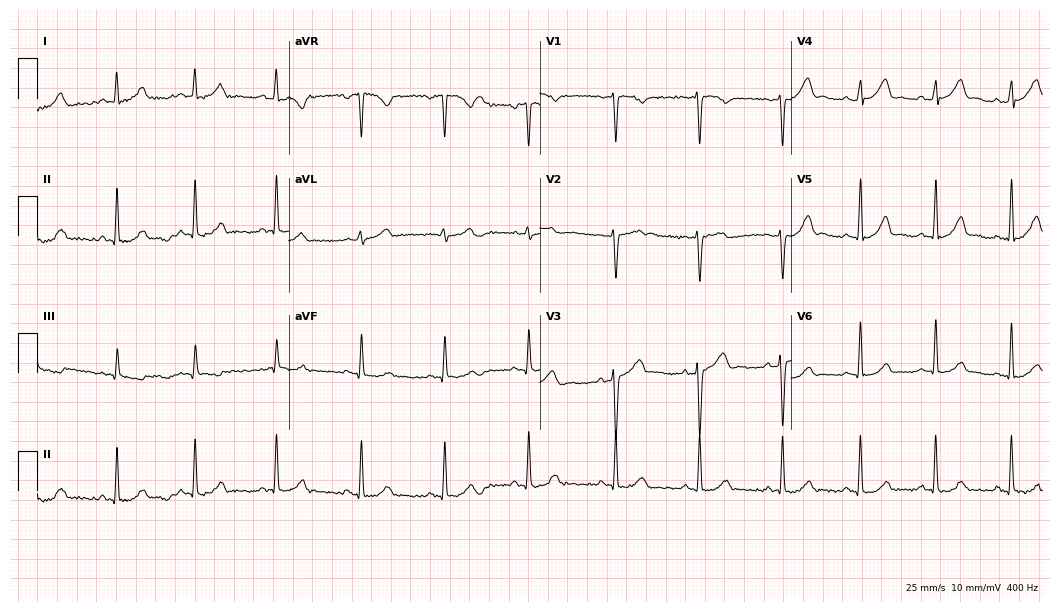
ECG (10.2-second recording at 400 Hz) — a woman, 31 years old. Screened for six findings — first-degree AV block, right bundle branch block (RBBB), left bundle branch block (LBBB), sinus bradycardia, atrial fibrillation (AF), sinus tachycardia — none is recorded. Findings outside these six are not listed.